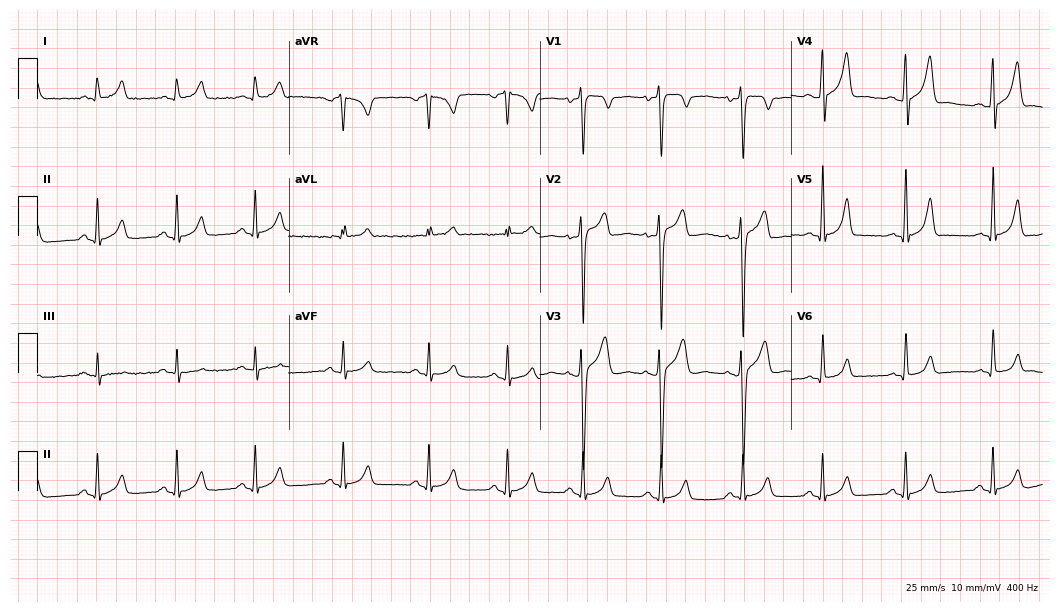
ECG (10.2-second recording at 400 Hz) — a man, 17 years old. Screened for six findings — first-degree AV block, right bundle branch block (RBBB), left bundle branch block (LBBB), sinus bradycardia, atrial fibrillation (AF), sinus tachycardia — none is recorded. Other findings, if any, are not listed.